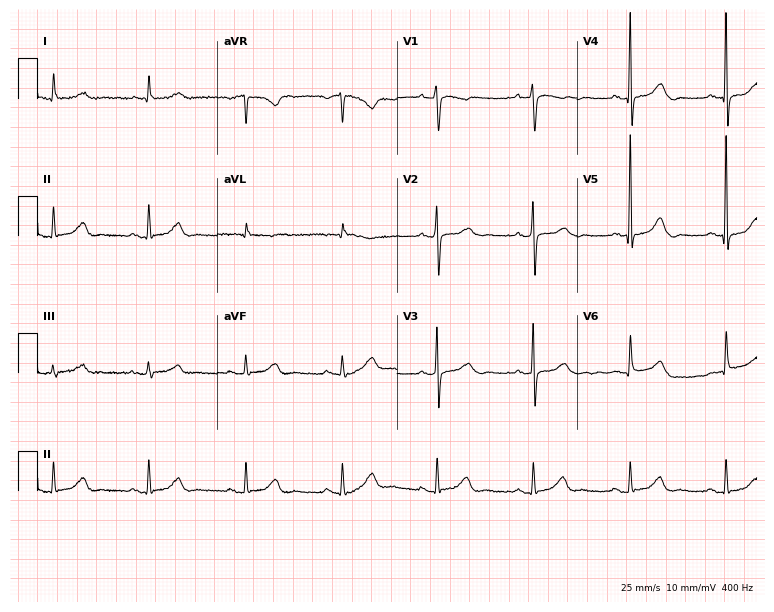
ECG (7.3-second recording at 400 Hz) — a female patient, 77 years old. Screened for six findings — first-degree AV block, right bundle branch block (RBBB), left bundle branch block (LBBB), sinus bradycardia, atrial fibrillation (AF), sinus tachycardia — none is recorded. Other findings, if any, are not listed.